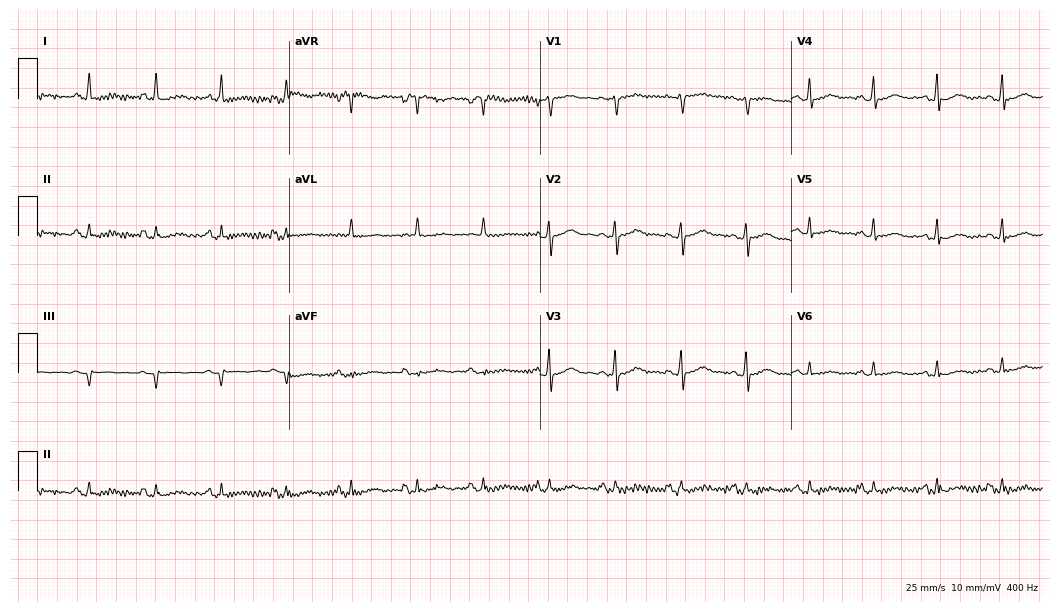
Standard 12-lead ECG recorded from a female, 45 years old (10.2-second recording at 400 Hz). Read as a normal ECG.